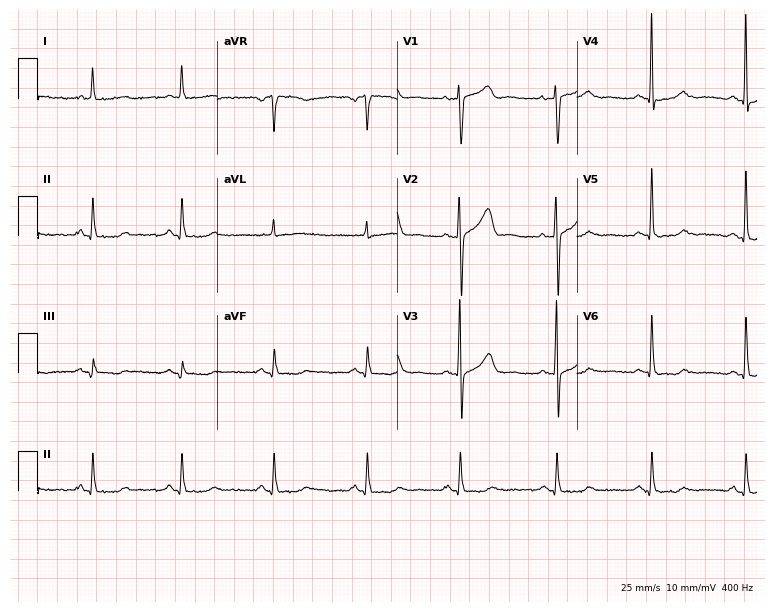
12-lead ECG (7.3-second recording at 400 Hz) from a female patient, 58 years old. Labelled as a normal ECG.